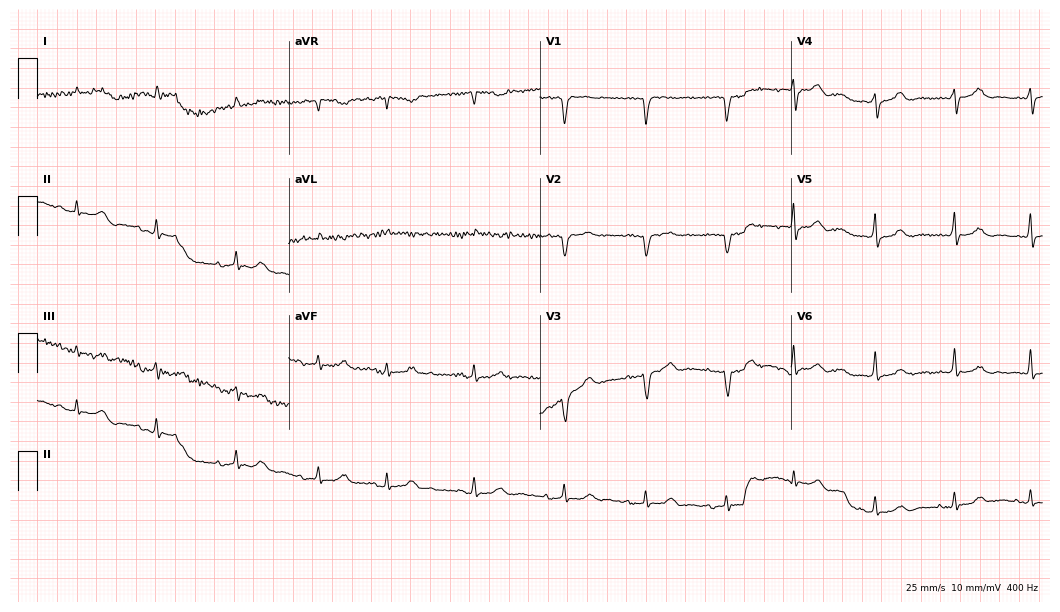
Standard 12-lead ECG recorded from a man, 76 years old (10.2-second recording at 400 Hz). None of these six findings is recorded: first-degree AV block, right bundle branch block, left bundle branch block, sinus bradycardia, atrial fibrillation, sinus tachycardia.